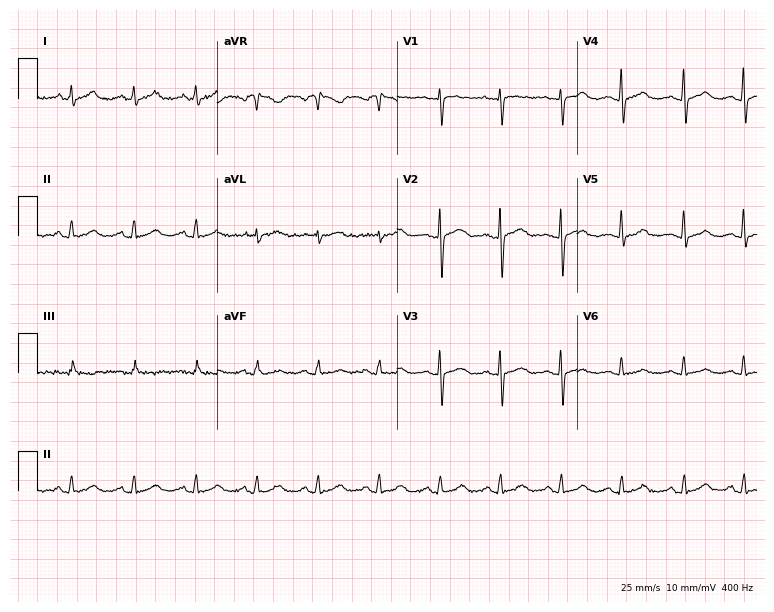
Resting 12-lead electrocardiogram (7.3-second recording at 400 Hz). Patient: a 33-year-old female. None of these six findings is recorded: first-degree AV block, right bundle branch block, left bundle branch block, sinus bradycardia, atrial fibrillation, sinus tachycardia.